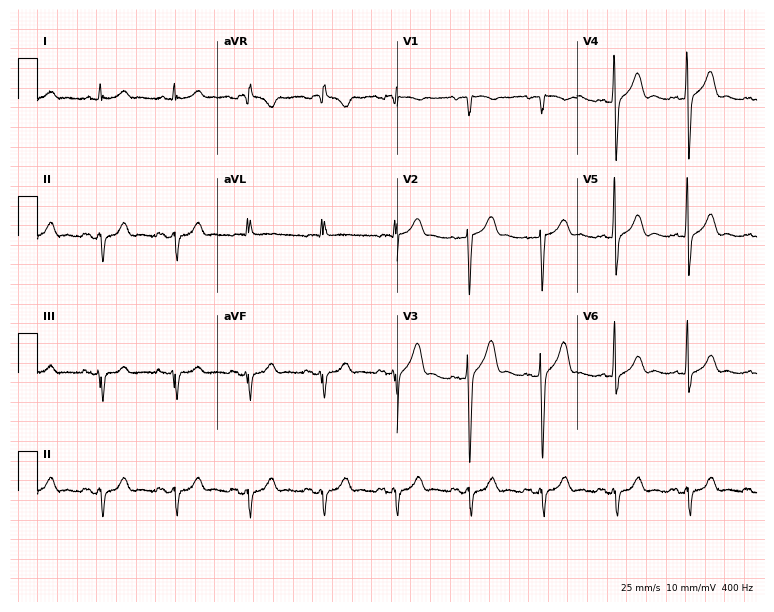
12-lead ECG from a man, 60 years old. Screened for six findings — first-degree AV block, right bundle branch block (RBBB), left bundle branch block (LBBB), sinus bradycardia, atrial fibrillation (AF), sinus tachycardia — none is recorded.